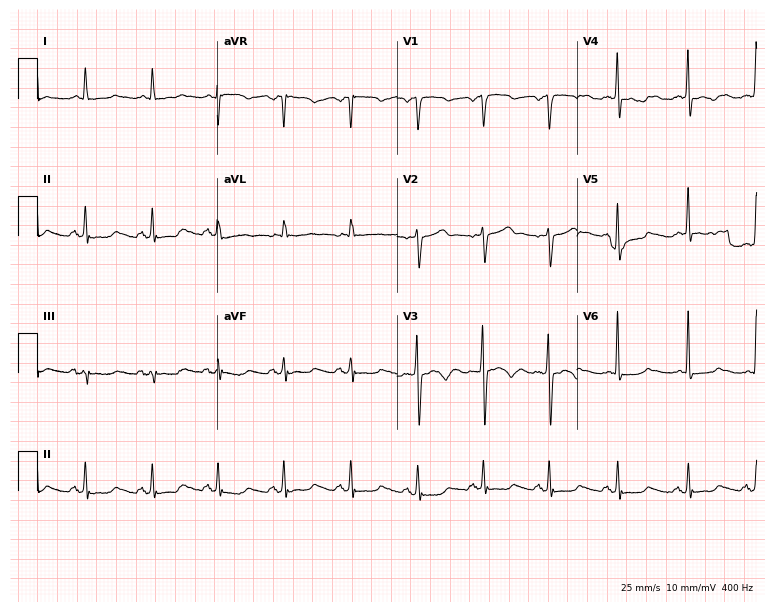
ECG (7.3-second recording at 400 Hz) — a male, 39 years old. Screened for six findings — first-degree AV block, right bundle branch block, left bundle branch block, sinus bradycardia, atrial fibrillation, sinus tachycardia — none is recorded. Other findings, if any, are not listed.